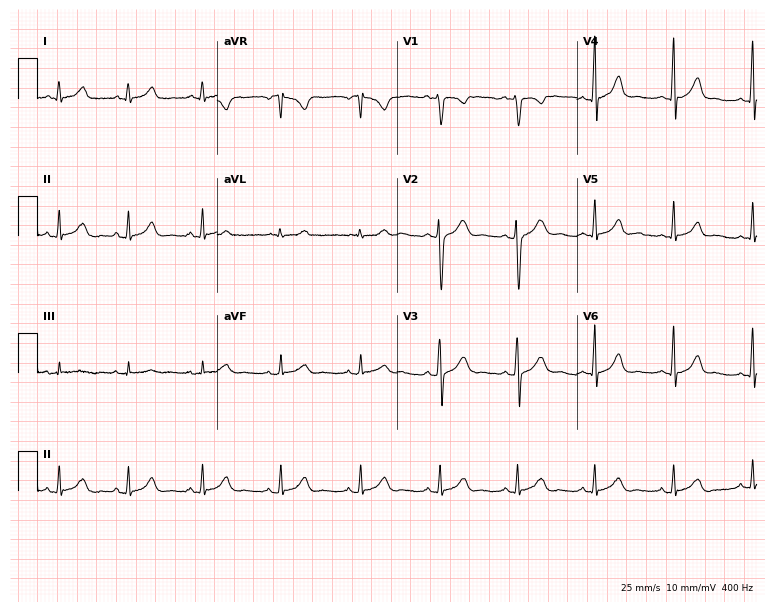
Electrocardiogram (7.3-second recording at 400 Hz), a 35-year-old female patient. Overall reading on record: normal ECG.